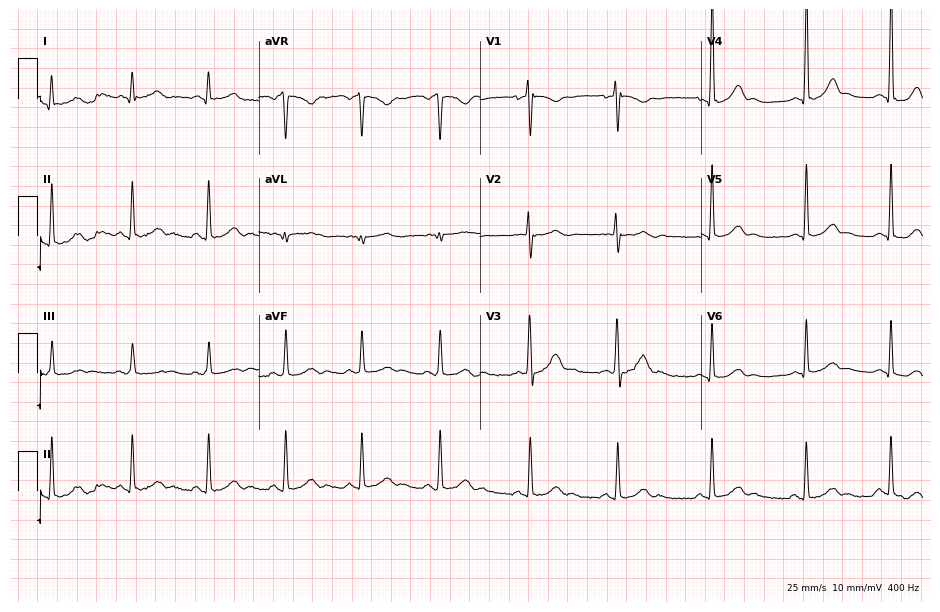
Standard 12-lead ECG recorded from an 18-year-old female. Read as a normal ECG.